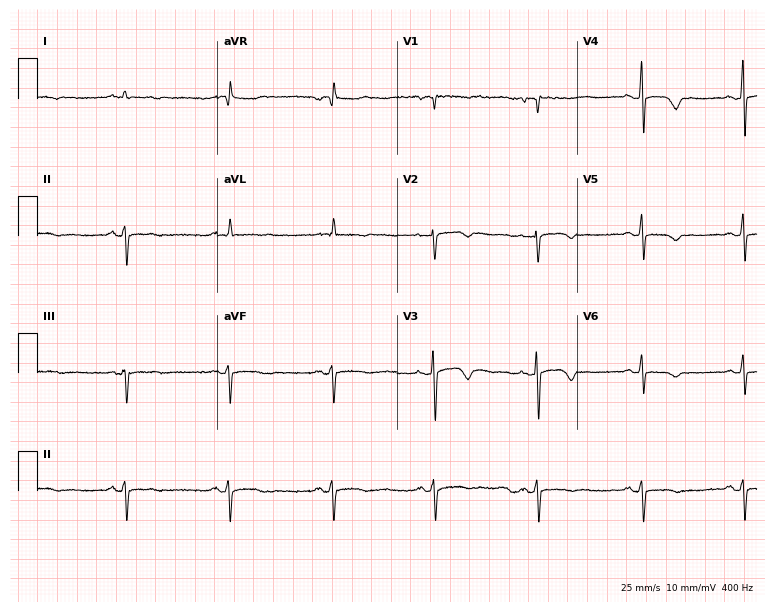
Resting 12-lead electrocardiogram (7.3-second recording at 400 Hz). Patient: a 58-year-old female. None of these six findings is recorded: first-degree AV block, right bundle branch block, left bundle branch block, sinus bradycardia, atrial fibrillation, sinus tachycardia.